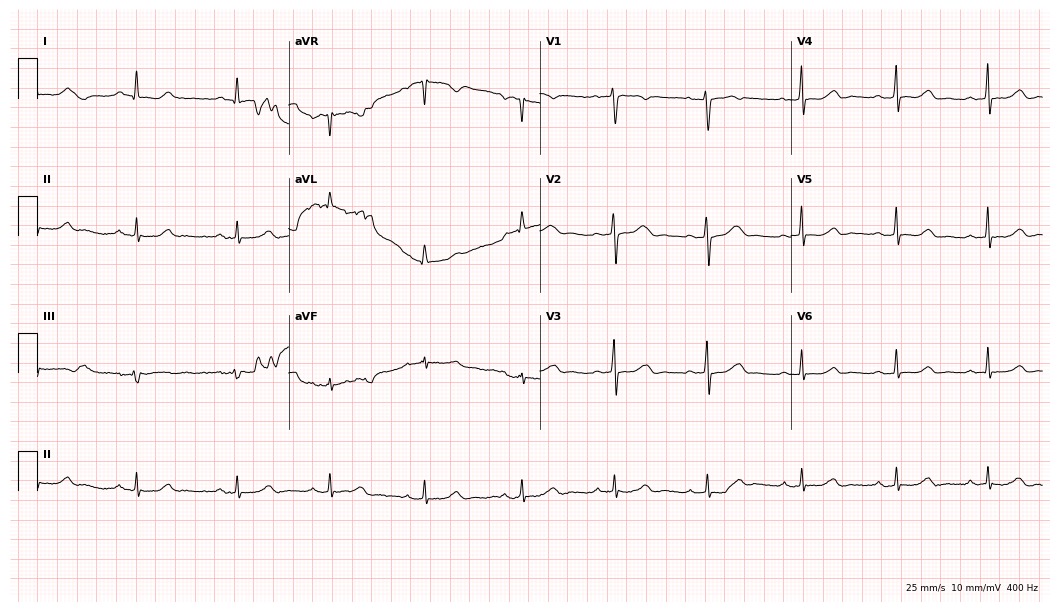
Standard 12-lead ECG recorded from a 53-year-old female (10.2-second recording at 400 Hz). Read as a normal ECG.